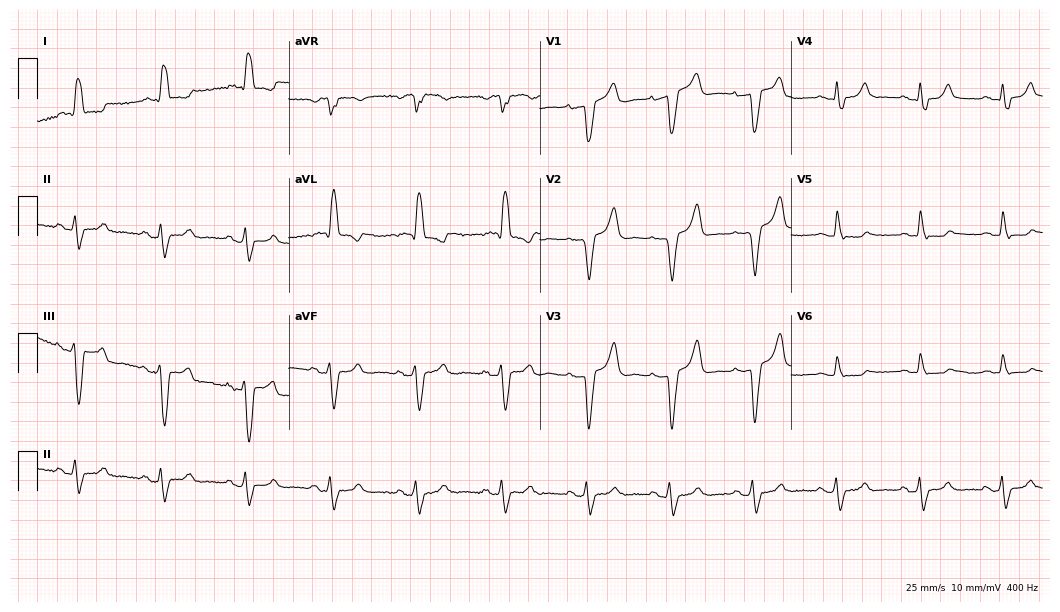
12-lead ECG (10.2-second recording at 400 Hz) from an 84-year-old female patient. Findings include left bundle branch block.